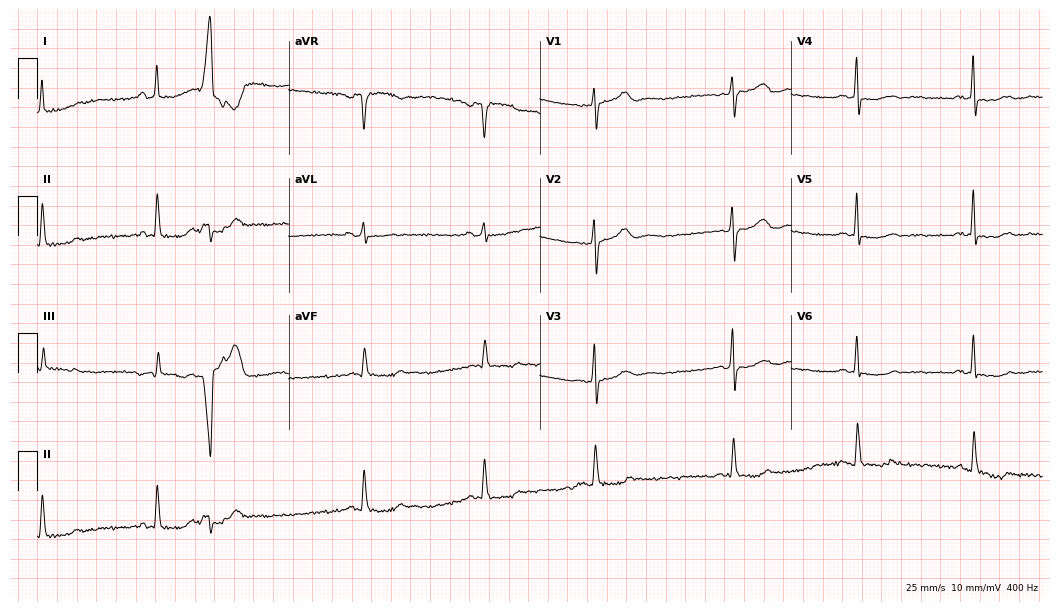
12-lead ECG (10.2-second recording at 400 Hz) from an 83-year-old female patient. Screened for six findings — first-degree AV block, right bundle branch block, left bundle branch block, sinus bradycardia, atrial fibrillation, sinus tachycardia — none is recorded.